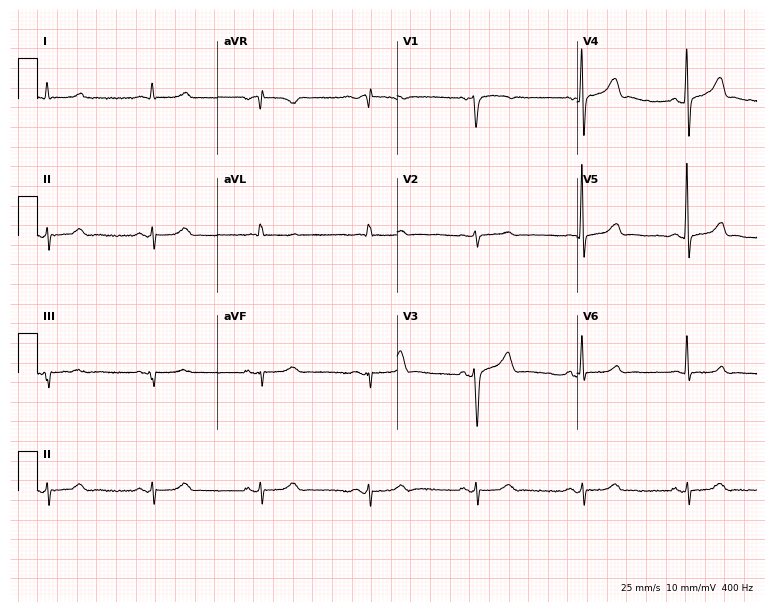
ECG (7.3-second recording at 400 Hz) — a 65-year-old male patient. Screened for six findings — first-degree AV block, right bundle branch block (RBBB), left bundle branch block (LBBB), sinus bradycardia, atrial fibrillation (AF), sinus tachycardia — none is recorded.